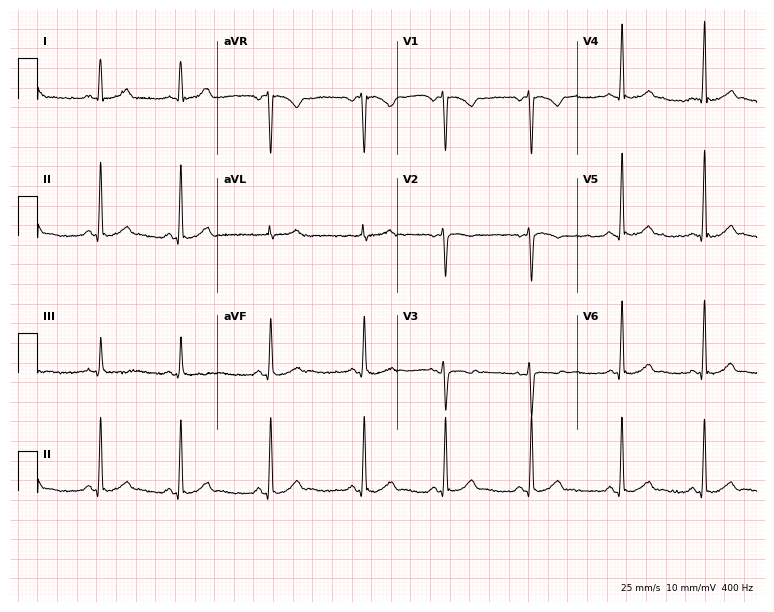
Resting 12-lead electrocardiogram. Patient: a woman, 25 years old. Read as a normal ECG.